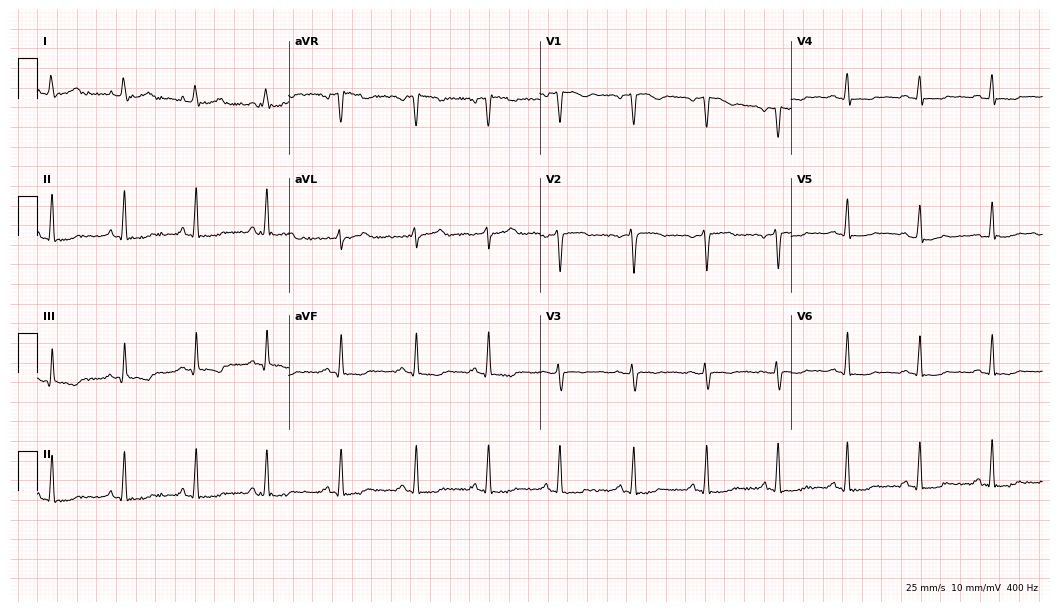
ECG (10.2-second recording at 400 Hz) — a 25-year-old female. Screened for six findings — first-degree AV block, right bundle branch block (RBBB), left bundle branch block (LBBB), sinus bradycardia, atrial fibrillation (AF), sinus tachycardia — none is recorded. Only these six findings were labelled.